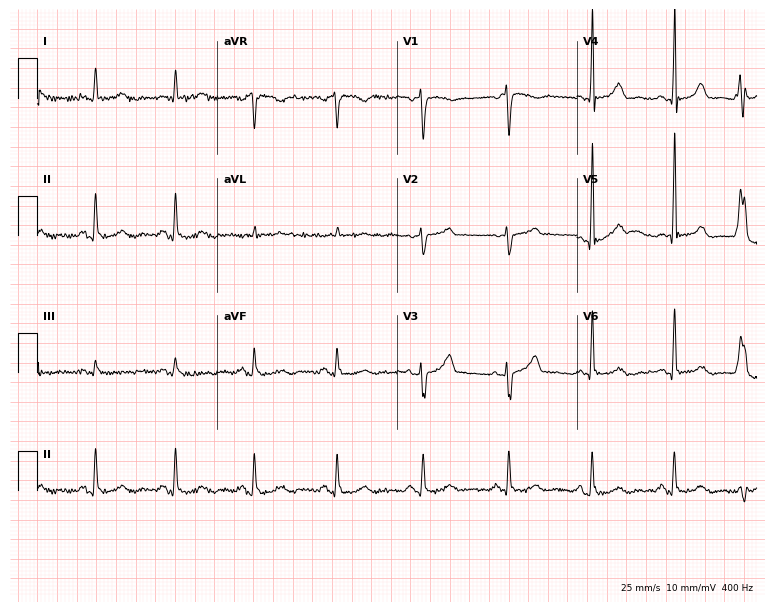
12-lead ECG (7.3-second recording at 400 Hz) from a 65-year-old male. Screened for six findings — first-degree AV block, right bundle branch block (RBBB), left bundle branch block (LBBB), sinus bradycardia, atrial fibrillation (AF), sinus tachycardia — none is recorded. Only these six findings were labelled.